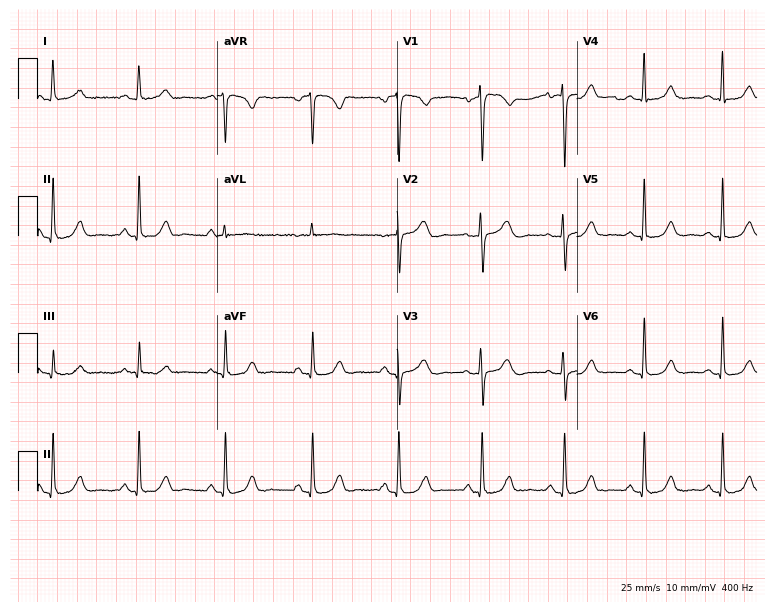
ECG — a woman, 55 years old. Labelled as a normal ECG.